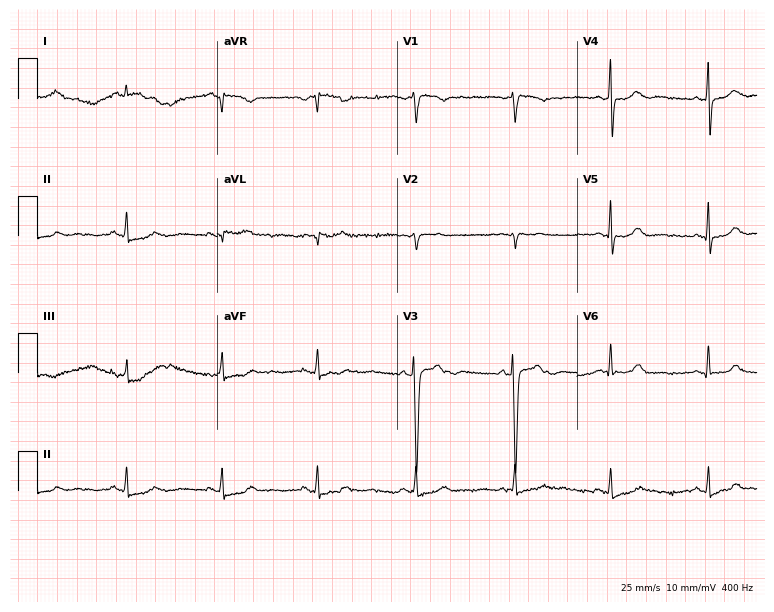
12-lead ECG (7.3-second recording at 400 Hz) from a 39-year-old female. Screened for six findings — first-degree AV block, right bundle branch block, left bundle branch block, sinus bradycardia, atrial fibrillation, sinus tachycardia — none is recorded. Findings outside these six are not listed.